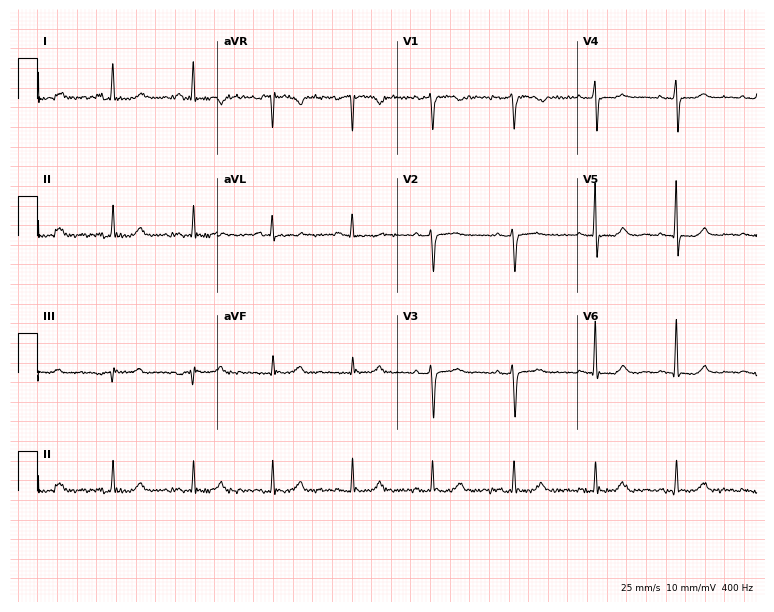
12-lead ECG (7.3-second recording at 400 Hz) from a 59-year-old woman. Screened for six findings — first-degree AV block, right bundle branch block, left bundle branch block, sinus bradycardia, atrial fibrillation, sinus tachycardia — none is recorded. Only these six findings were labelled.